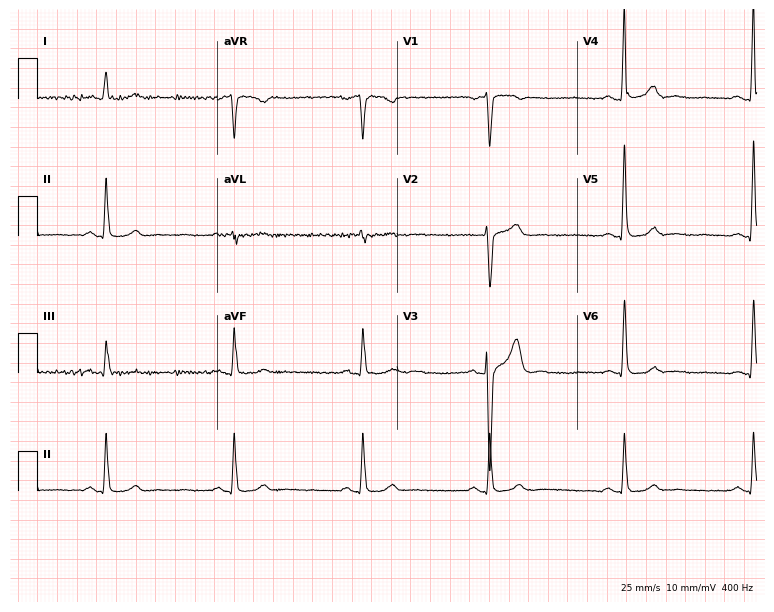
12-lead ECG from a male, 54 years old. Shows sinus bradycardia (a sinus rate of 50 beats per minute or less).